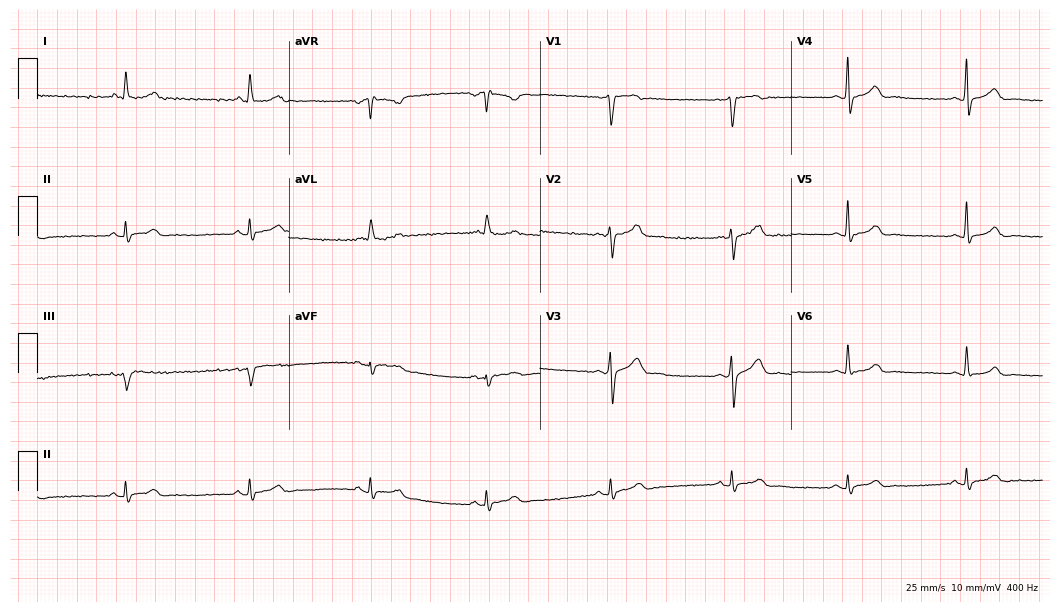
Electrocardiogram, a man, 26 years old. Overall reading on record: normal ECG.